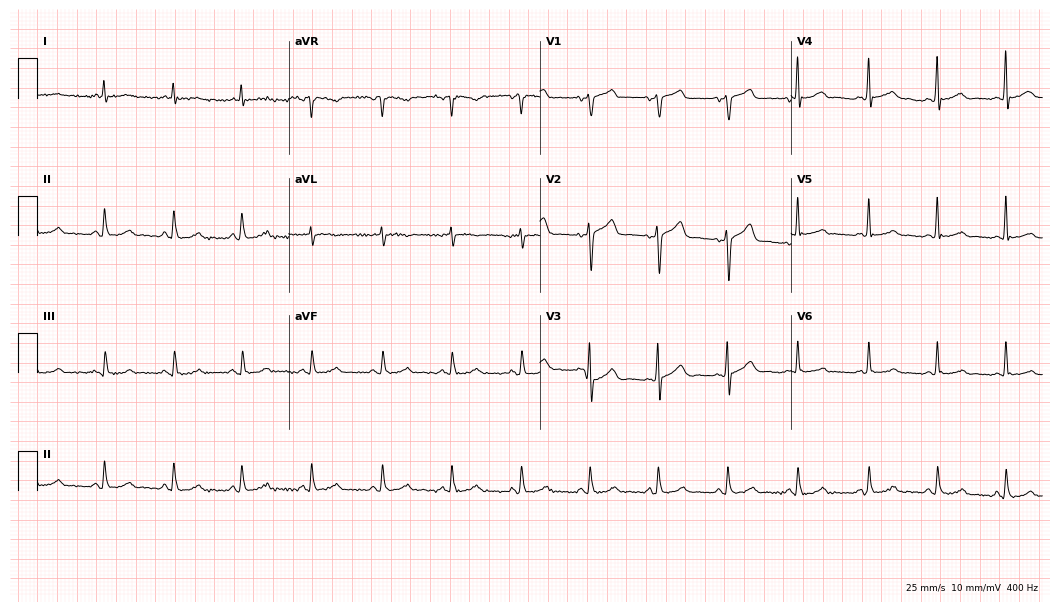
Electrocardiogram, a man, 65 years old. Of the six screened findings (first-degree AV block, right bundle branch block (RBBB), left bundle branch block (LBBB), sinus bradycardia, atrial fibrillation (AF), sinus tachycardia), none is recorded. Only these six findings were labelled.